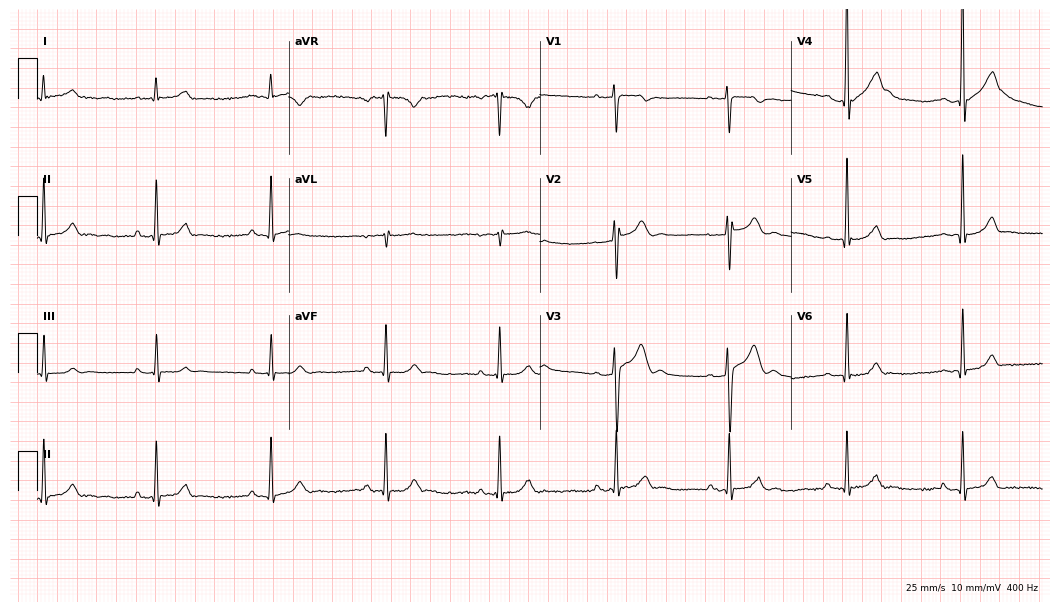
Electrocardiogram (10.2-second recording at 400 Hz), a male, 17 years old. Overall reading on record: normal ECG.